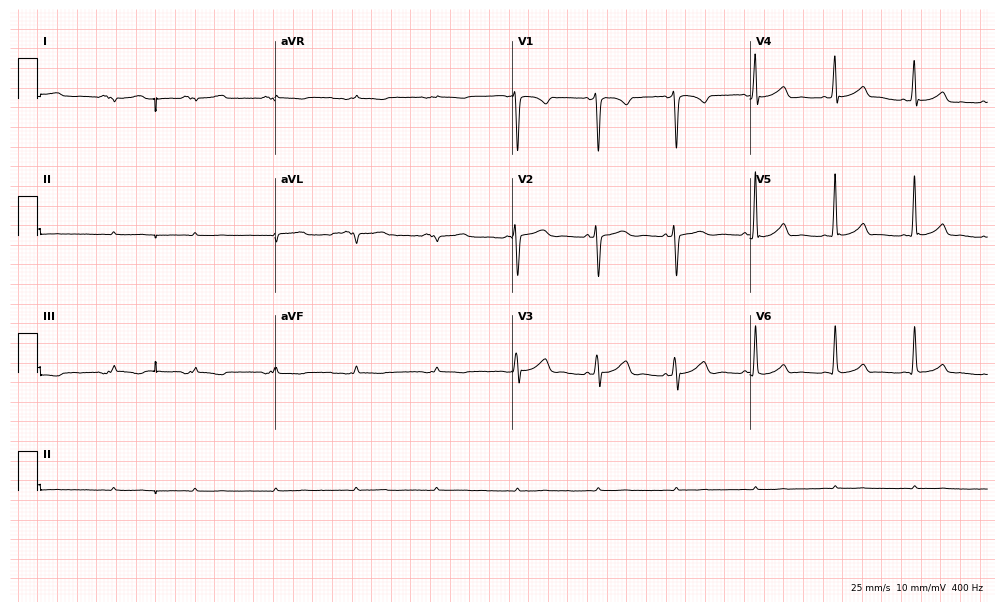
Resting 12-lead electrocardiogram (9.7-second recording at 400 Hz). Patient: a 53-year-old female. None of these six findings is recorded: first-degree AV block, right bundle branch block (RBBB), left bundle branch block (LBBB), sinus bradycardia, atrial fibrillation (AF), sinus tachycardia. Other findings, if any, are not listed.